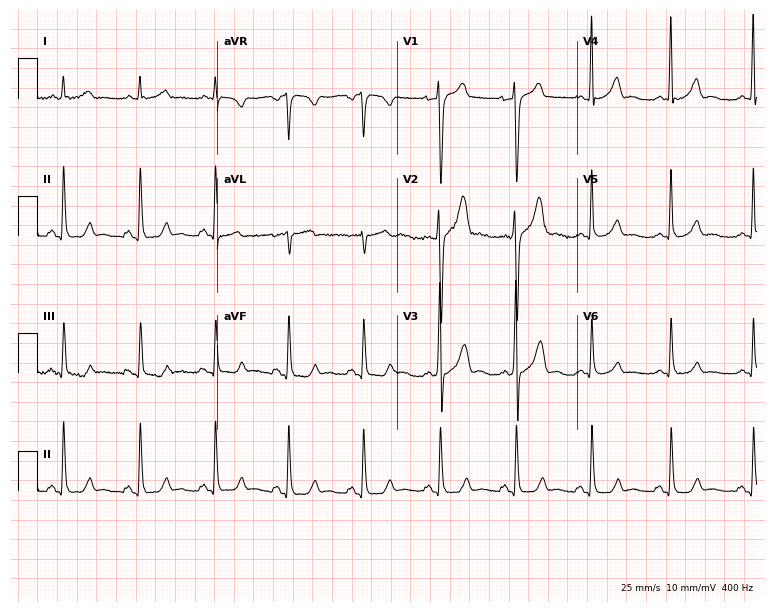
Resting 12-lead electrocardiogram (7.3-second recording at 400 Hz). Patient: a male, 32 years old. None of these six findings is recorded: first-degree AV block, right bundle branch block, left bundle branch block, sinus bradycardia, atrial fibrillation, sinus tachycardia.